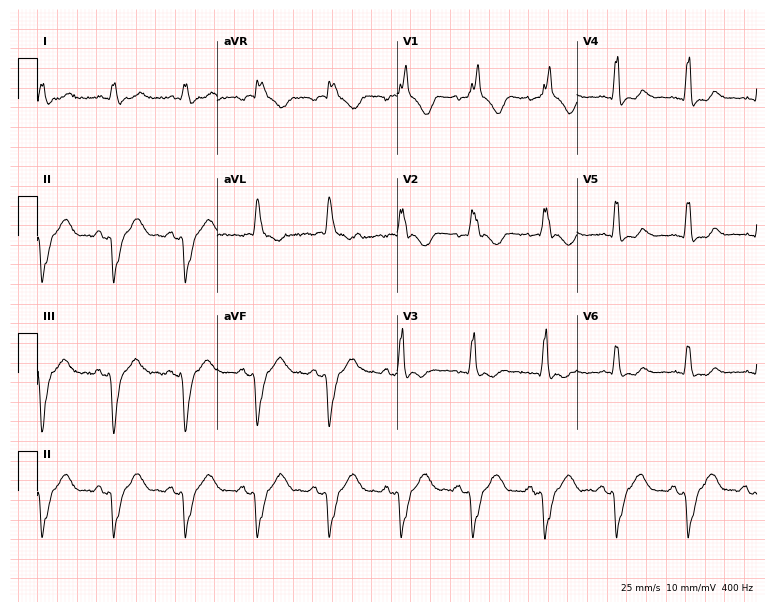
Resting 12-lead electrocardiogram. Patient: a male, 41 years old. The tracing shows right bundle branch block.